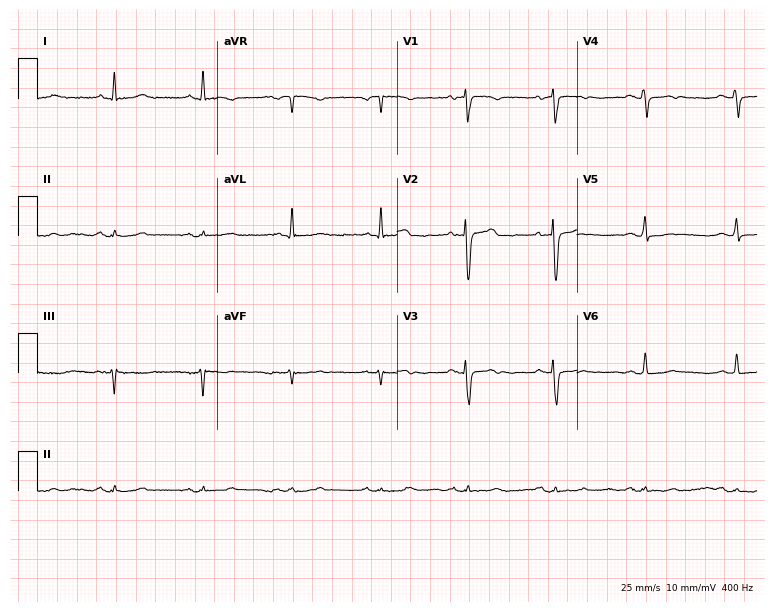
Electrocardiogram, a female patient, 71 years old. Of the six screened findings (first-degree AV block, right bundle branch block (RBBB), left bundle branch block (LBBB), sinus bradycardia, atrial fibrillation (AF), sinus tachycardia), none is recorded.